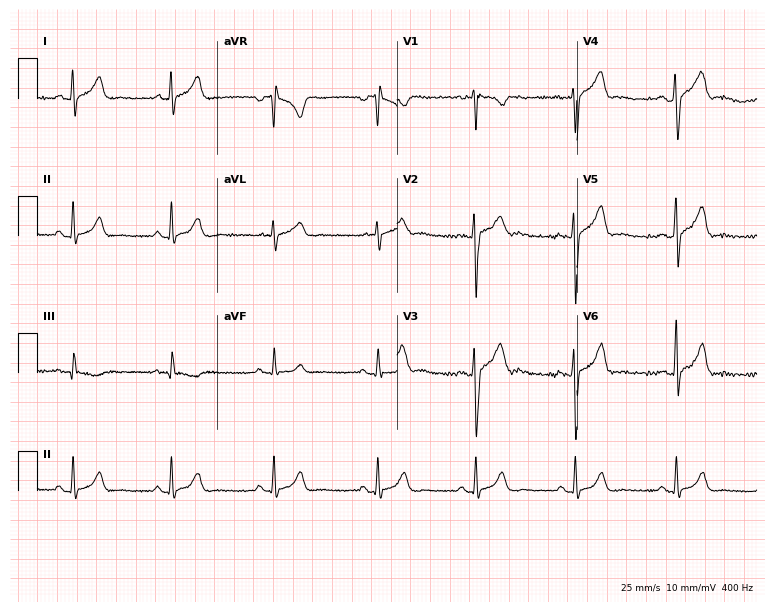
Resting 12-lead electrocardiogram. Patient: a man, 20 years old. None of these six findings is recorded: first-degree AV block, right bundle branch block, left bundle branch block, sinus bradycardia, atrial fibrillation, sinus tachycardia.